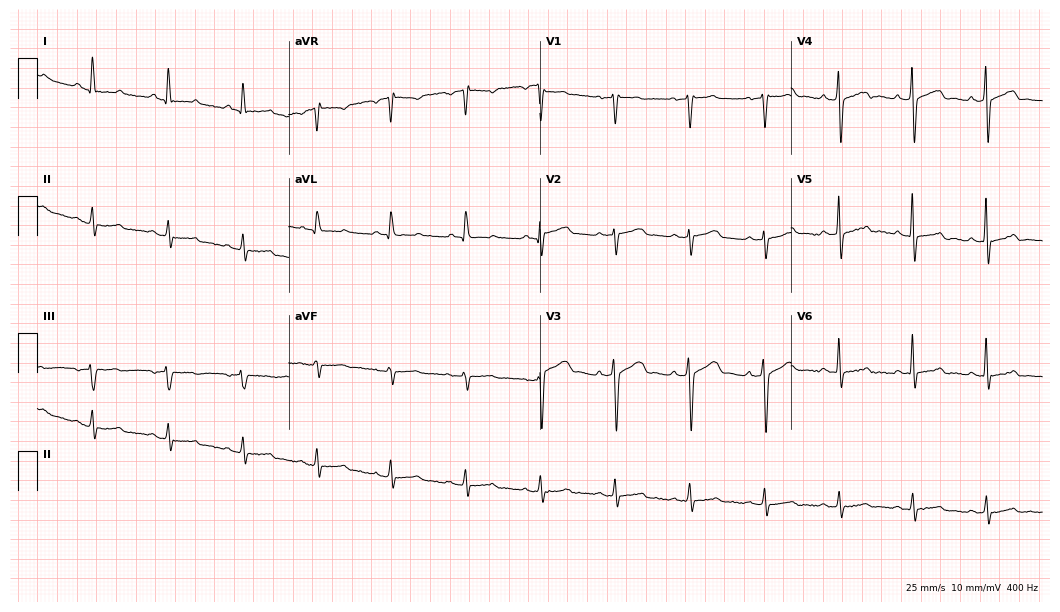
12-lead ECG (10.2-second recording at 400 Hz) from a 59-year-old male patient. Screened for six findings — first-degree AV block, right bundle branch block, left bundle branch block, sinus bradycardia, atrial fibrillation, sinus tachycardia — none is recorded.